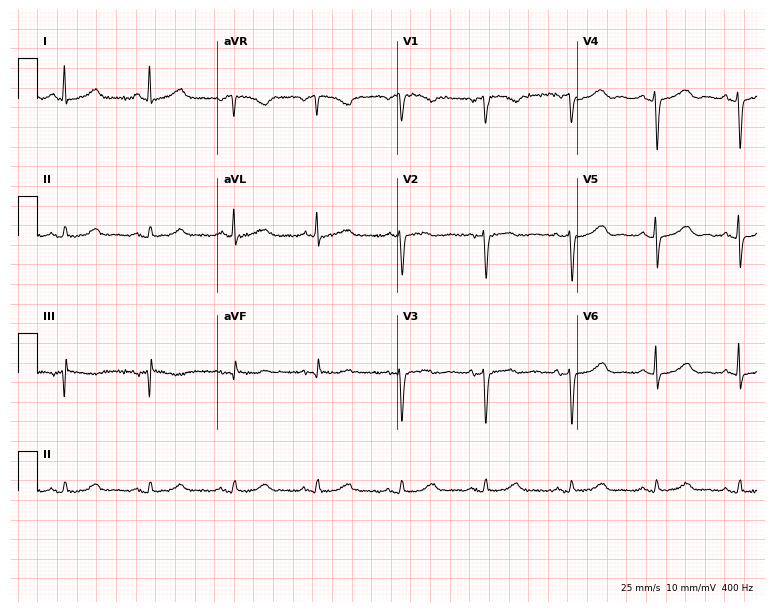
12-lead ECG from a woman, 56 years old. Recorded interpretation: within normal limits.